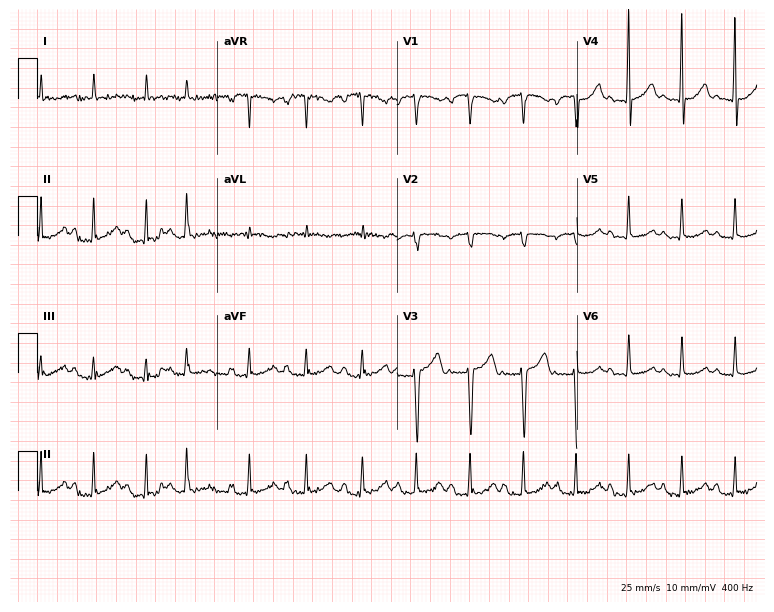
Electrocardiogram, a female patient, 81 years old. Of the six screened findings (first-degree AV block, right bundle branch block, left bundle branch block, sinus bradycardia, atrial fibrillation, sinus tachycardia), none is recorded. Other findings, if any, are not listed.